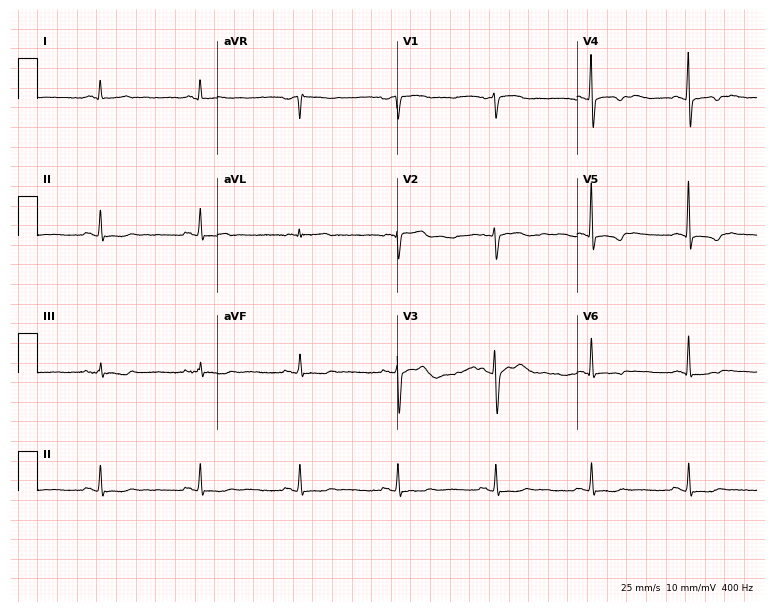
Standard 12-lead ECG recorded from a 65-year-old male patient (7.3-second recording at 400 Hz). None of these six findings is recorded: first-degree AV block, right bundle branch block, left bundle branch block, sinus bradycardia, atrial fibrillation, sinus tachycardia. Only these six findings were labelled.